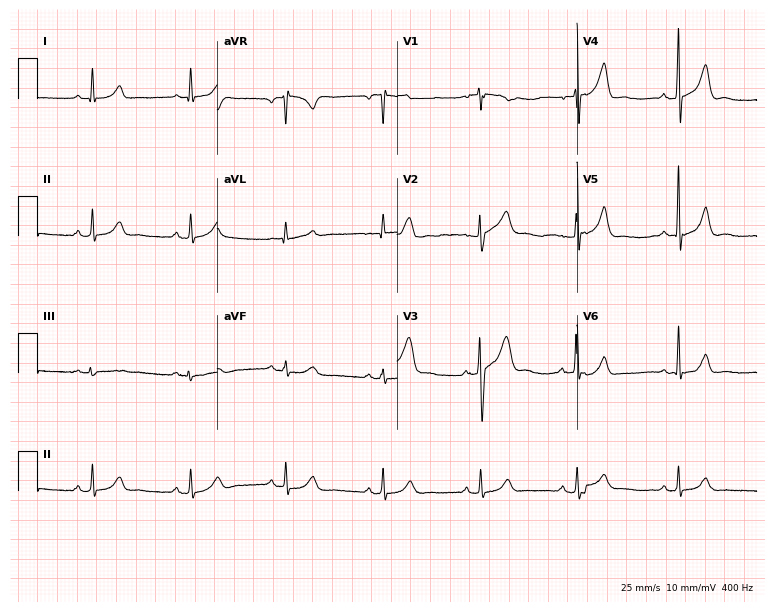
Electrocardiogram, a man, 49 years old. Overall reading on record: normal ECG.